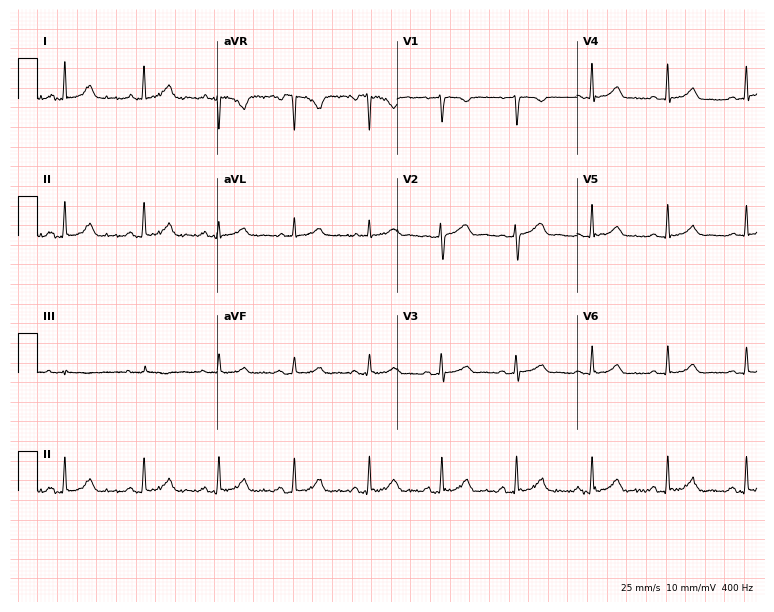
ECG (7.3-second recording at 400 Hz) — a 40-year-old woman. Labelled as a normal ECG.